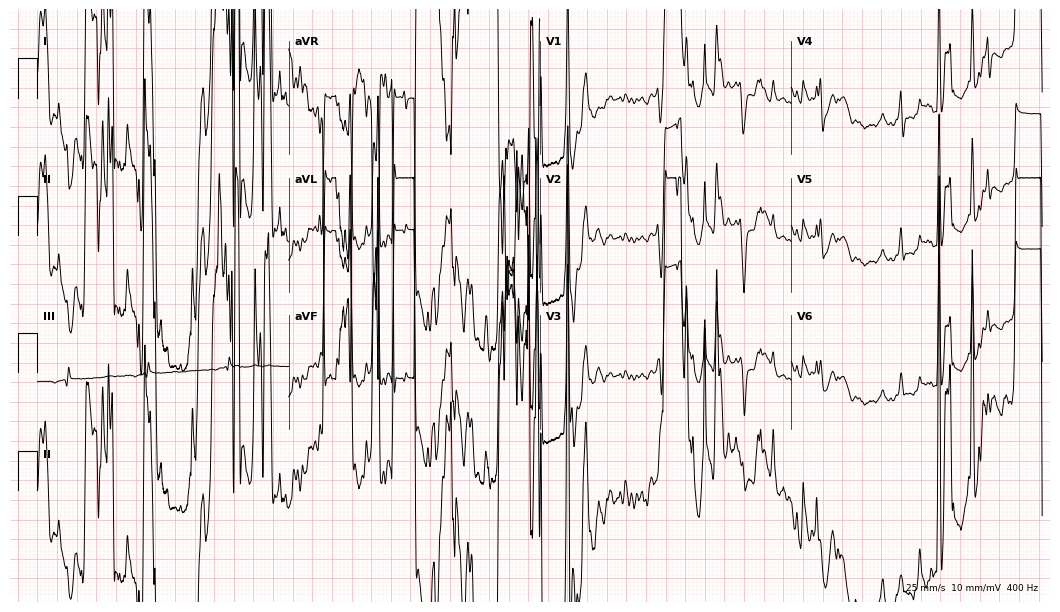
12-lead ECG from a 25-year-old male patient (10.2-second recording at 400 Hz). No first-degree AV block, right bundle branch block, left bundle branch block, sinus bradycardia, atrial fibrillation or sinus tachycardia recorded for this tracing.